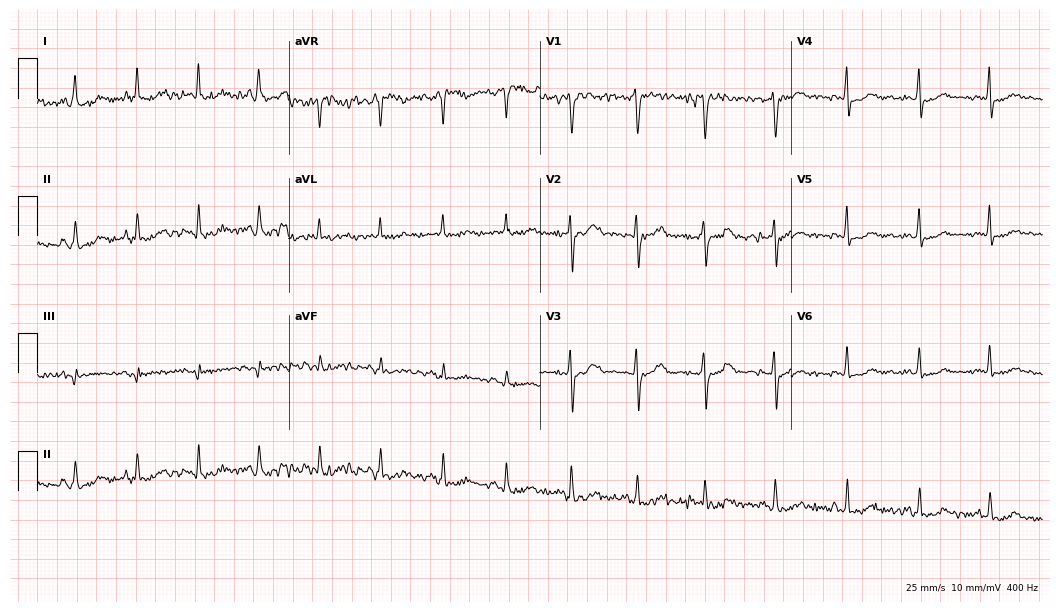
12-lead ECG (10.2-second recording at 400 Hz) from a 58-year-old female. Screened for six findings — first-degree AV block, right bundle branch block, left bundle branch block, sinus bradycardia, atrial fibrillation, sinus tachycardia — none is recorded.